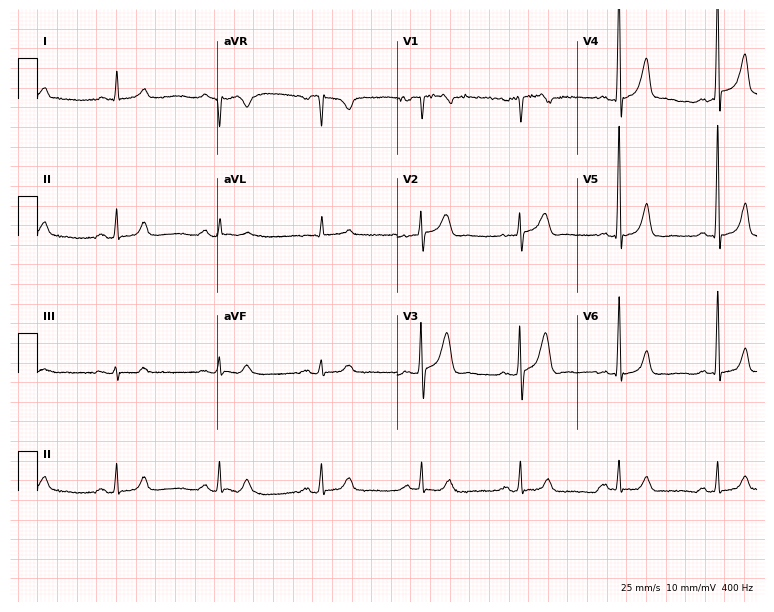
ECG (7.3-second recording at 400 Hz) — a male patient, 79 years old. Screened for six findings — first-degree AV block, right bundle branch block (RBBB), left bundle branch block (LBBB), sinus bradycardia, atrial fibrillation (AF), sinus tachycardia — none is recorded. Findings outside these six are not listed.